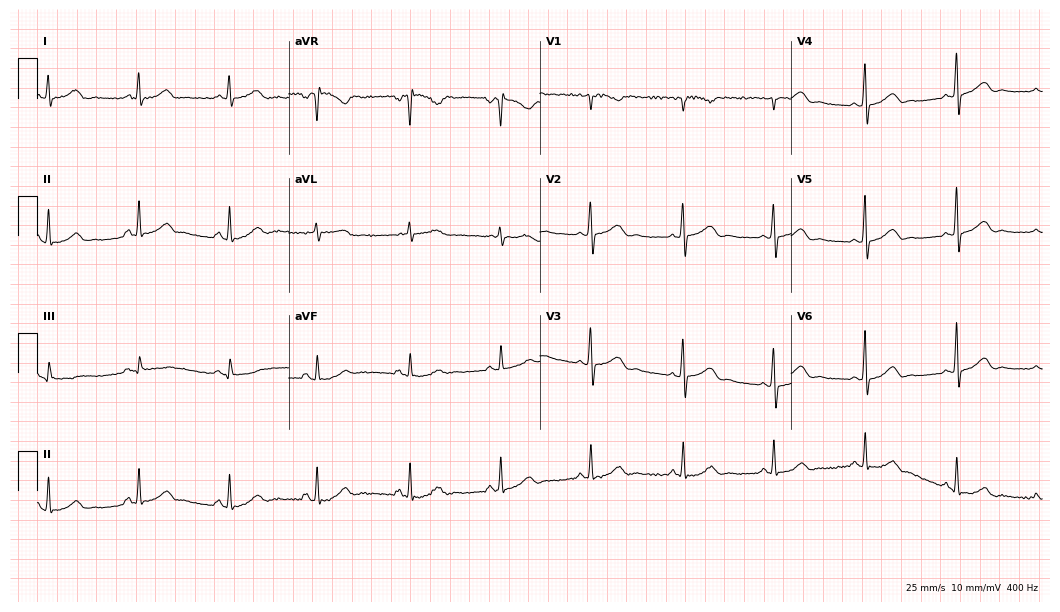
Resting 12-lead electrocardiogram. Patient: a 40-year-old woman. Read as a normal ECG.